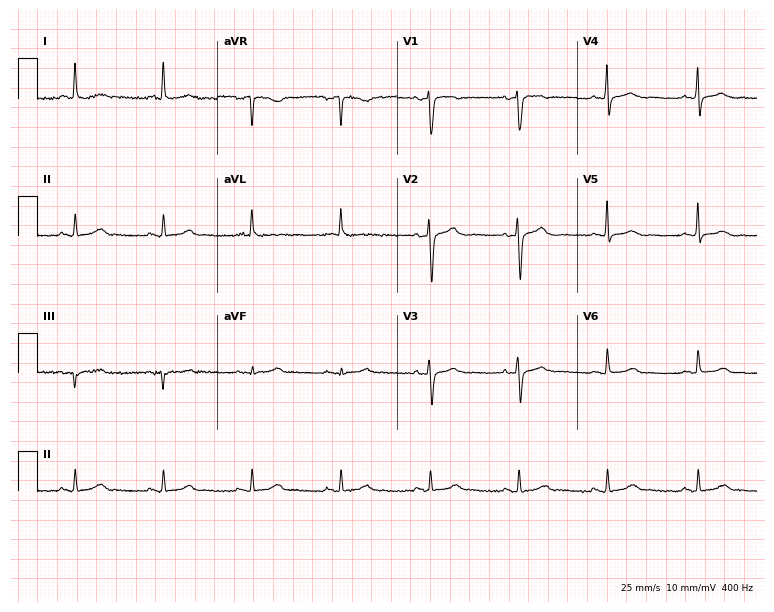
12-lead ECG from a female, 81 years old. Labelled as a normal ECG.